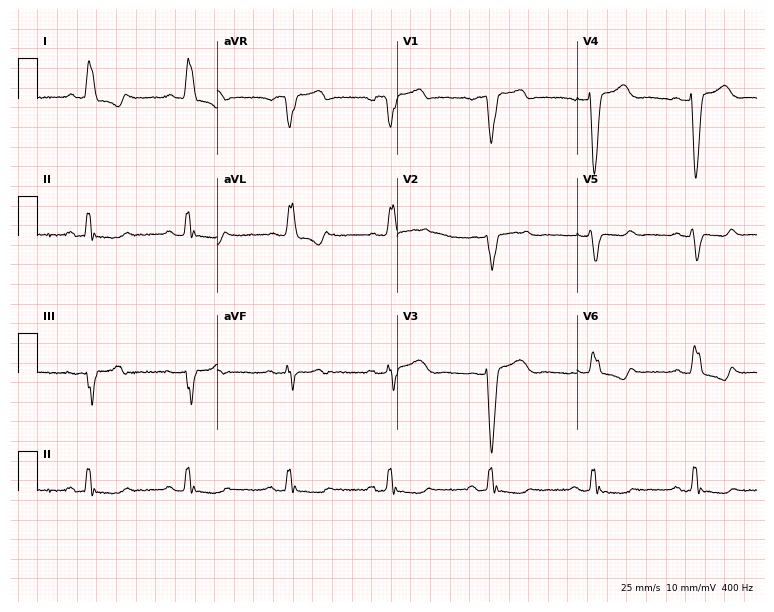
ECG — a 76-year-old female. Findings include left bundle branch block (LBBB).